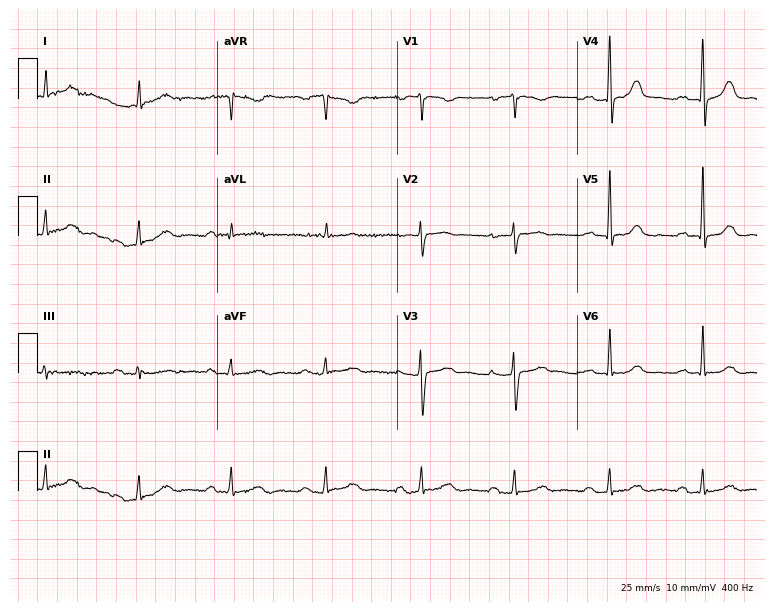
Electrocardiogram (7.3-second recording at 400 Hz), a female patient, 76 years old. Interpretation includes first-degree AV block.